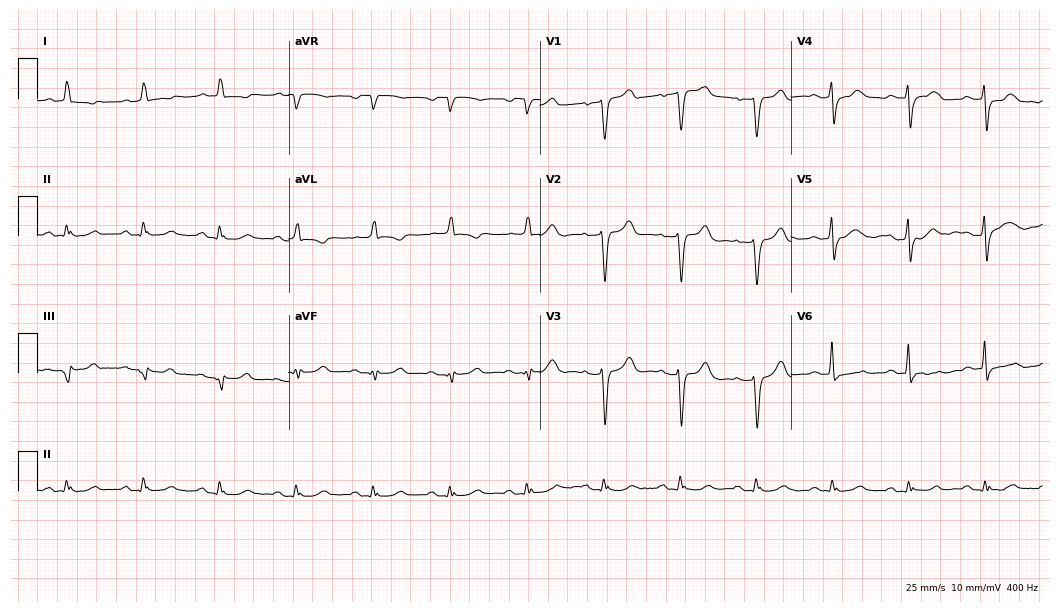
Electrocardiogram, an 85-year-old male patient. Of the six screened findings (first-degree AV block, right bundle branch block, left bundle branch block, sinus bradycardia, atrial fibrillation, sinus tachycardia), none is recorded. Only these six findings were labelled.